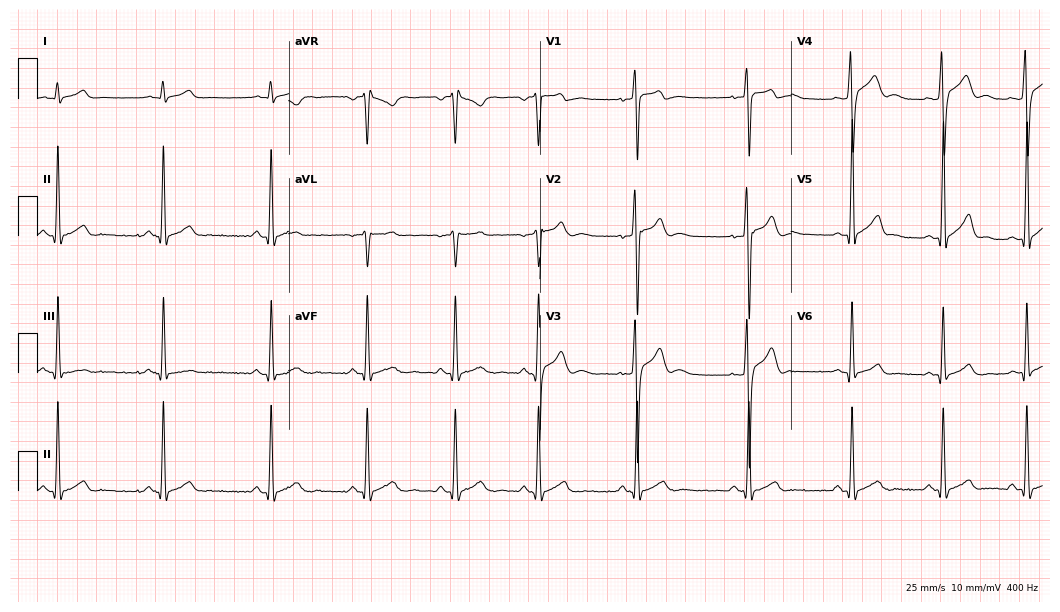
Electrocardiogram (10.2-second recording at 400 Hz), a male, 22 years old. Overall reading on record: normal ECG.